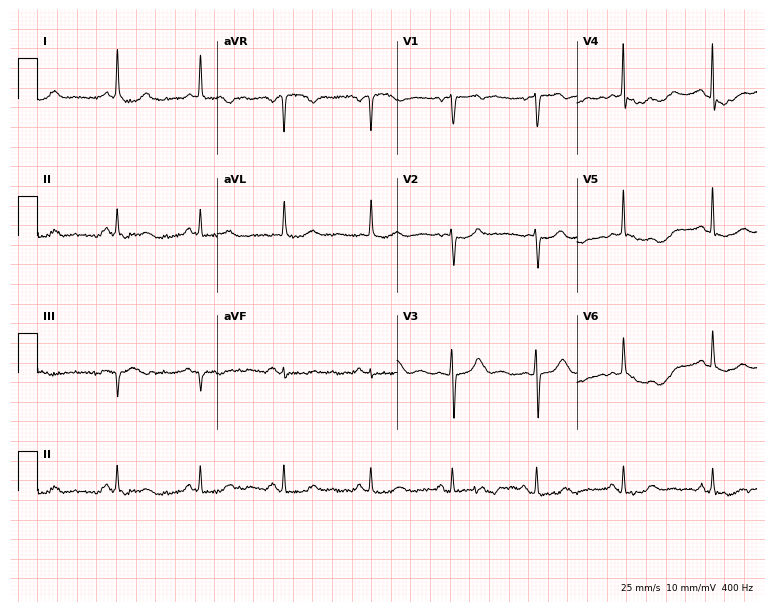
Electrocardiogram (7.3-second recording at 400 Hz), a female, 75 years old. Of the six screened findings (first-degree AV block, right bundle branch block (RBBB), left bundle branch block (LBBB), sinus bradycardia, atrial fibrillation (AF), sinus tachycardia), none is recorded.